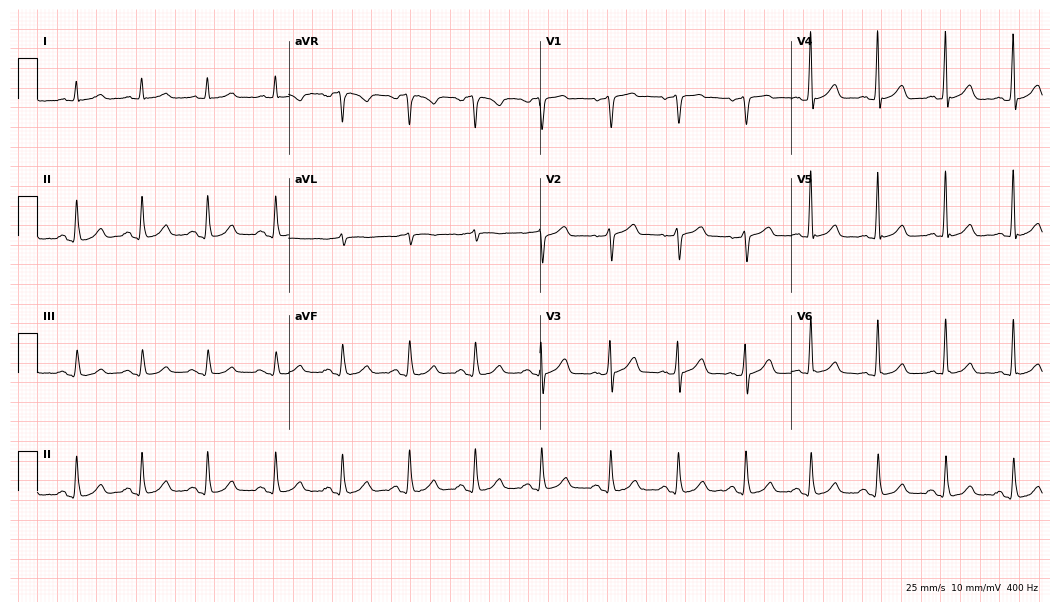
12-lead ECG from a male patient, 69 years old. Recorded interpretation: within normal limits.